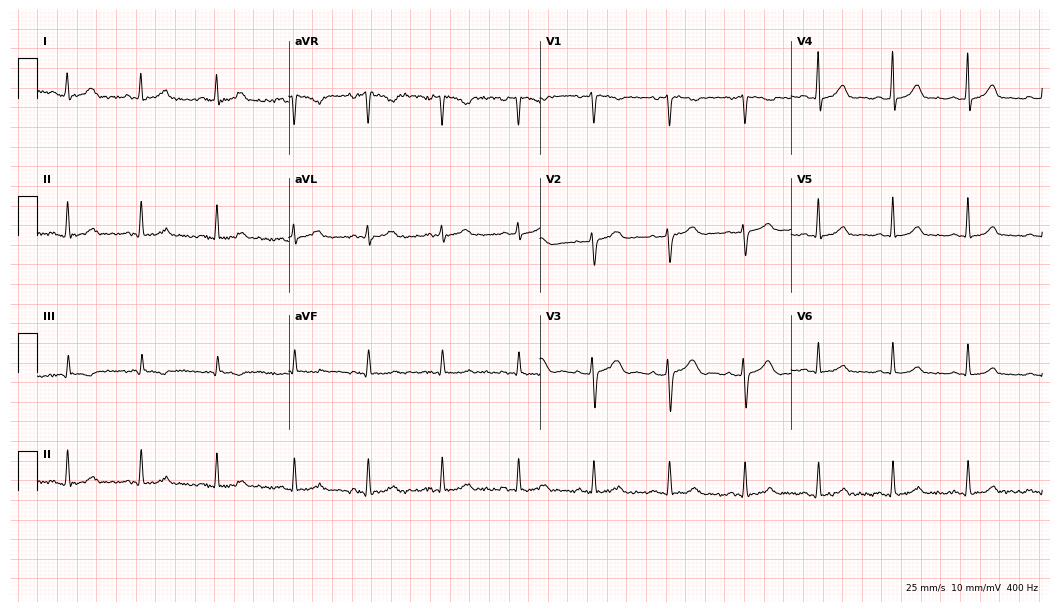
Standard 12-lead ECG recorded from a 40-year-old female. None of these six findings is recorded: first-degree AV block, right bundle branch block, left bundle branch block, sinus bradycardia, atrial fibrillation, sinus tachycardia.